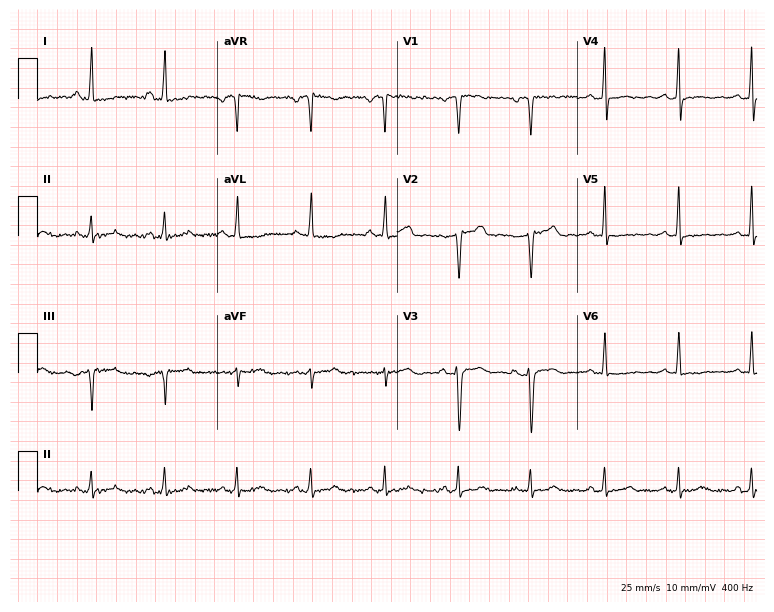
Resting 12-lead electrocardiogram. Patient: a female, 47 years old. None of these six findings is recorded: first-degree AV block, right bundle branch block, left bundle branch block, sinus bradycardia, atrial fibrillation, sinus tachycardia. Other findings, if any, are not listed.